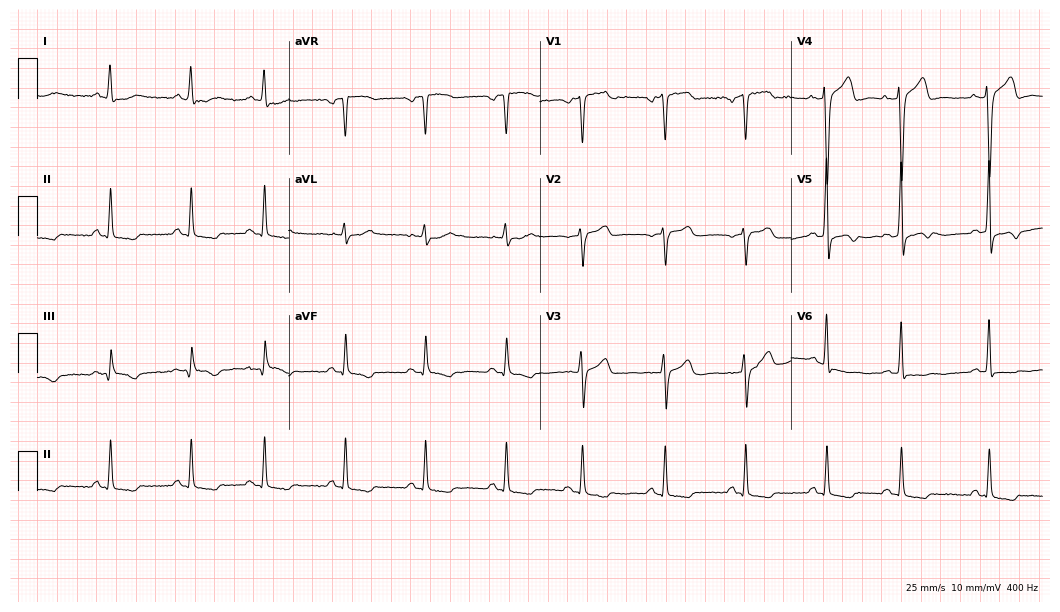
ECG (10.2-second recording at 400 Hz) — a 63-year-old male patient. Screened for six findings — first-degree AV block, right bundle branch block, left bundle branch block, sinus bradycardia, atrial fibrillation, sinus tachycardia — none is recorded. Other findings, if any, are not listed.